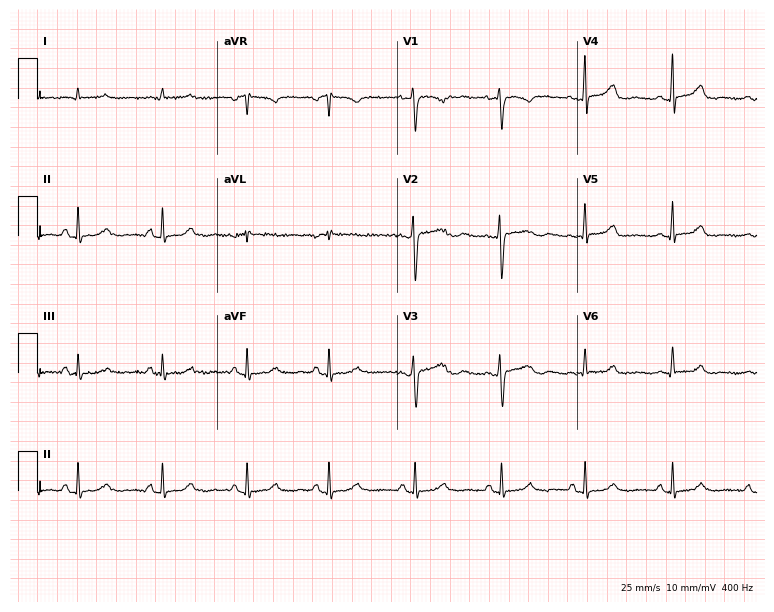
12-lead ECG (7.3-second recording at 400 Hz) from a female patient, 34 years old. Screened for six findings — first-degree AV block, right bundle branch block, left bundle branch block, sinus bradycardia, atrial fibrillation, sinus tachycardia — none is recorded. Other findings, if any, are not listed.